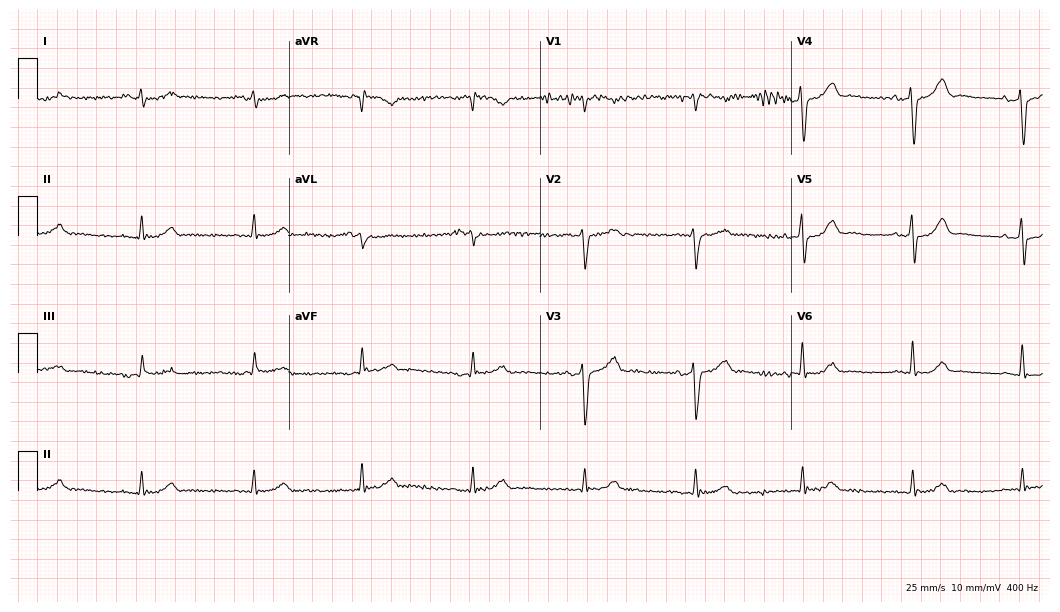
12-lead ECG from a 70-year-old male. Screened for six findings — first-degree AV block, right bundle branch block, left bundle branch block, sinus bradycardia, atrial fibrillation, sinus tachycardia — none is recorded.